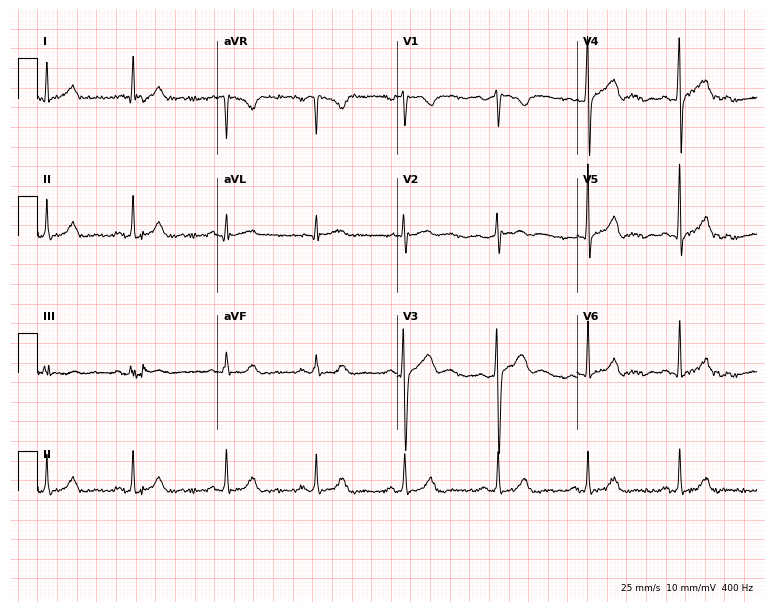
Standard 12-lead ECG recorded from a 29-year-old female patient (7.3-second recording at 400 Hz). Read as a normal ECG.